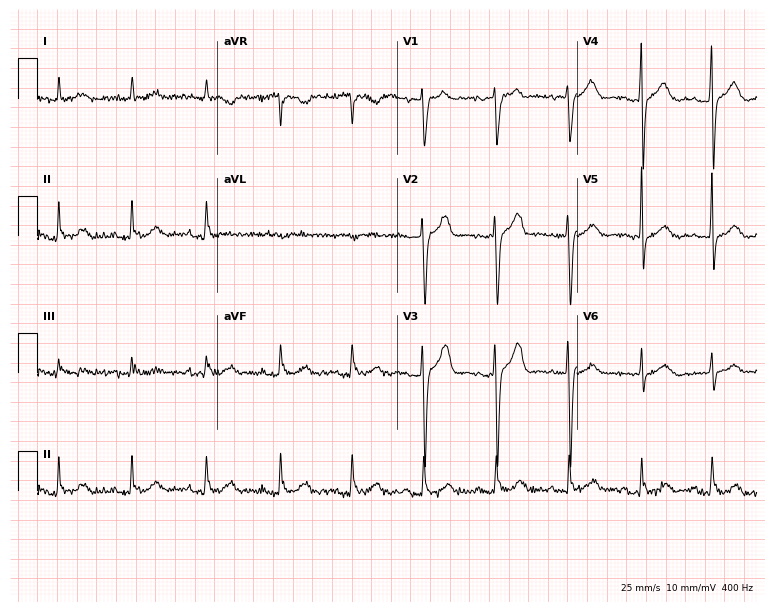
12-lead ECG (7.3-second recording at 400 Hz) from a 54-year-old man. Screened for six findings — first-degree AV block, right bundle branch block, left bundle branch block, sinus bradycardia, atrial fibrillation, sinus tachycardia — none is recorded.